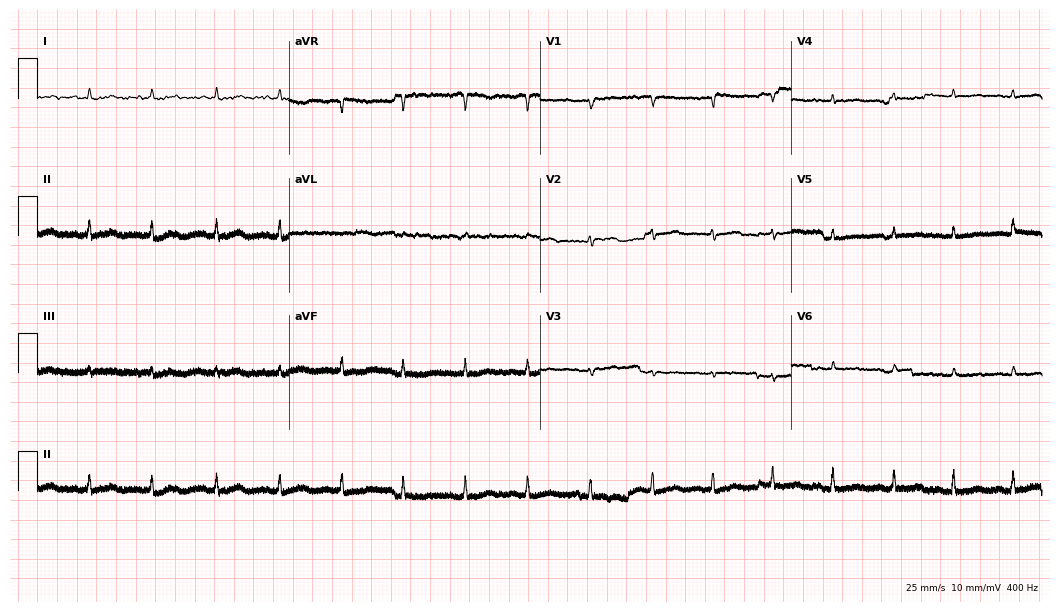
12-lead ECG from a female patient, 79 years old. Screened for six findings — first-degree AV block, right bundle branch block (RBBB), left bundle branch block (LBBB), sinus bradycardia, atrial fibrillation (AF), sinus tachycardia — none is recorded. Other findings, if any, are not listed.